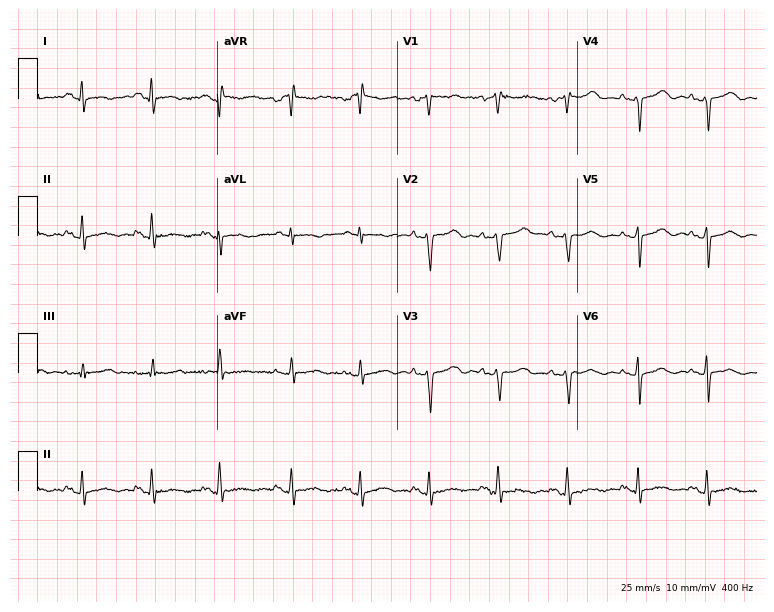
Resting 12-lead electrocardiogram. Patient: a 46-year-old female. None of these six findings is recorded: first-degree AV block, right bundle branch block, left bundle branch block, sinus bradycardia, atrial fibrillation, sinus tachycardia. Other findings, if any, are not listed.